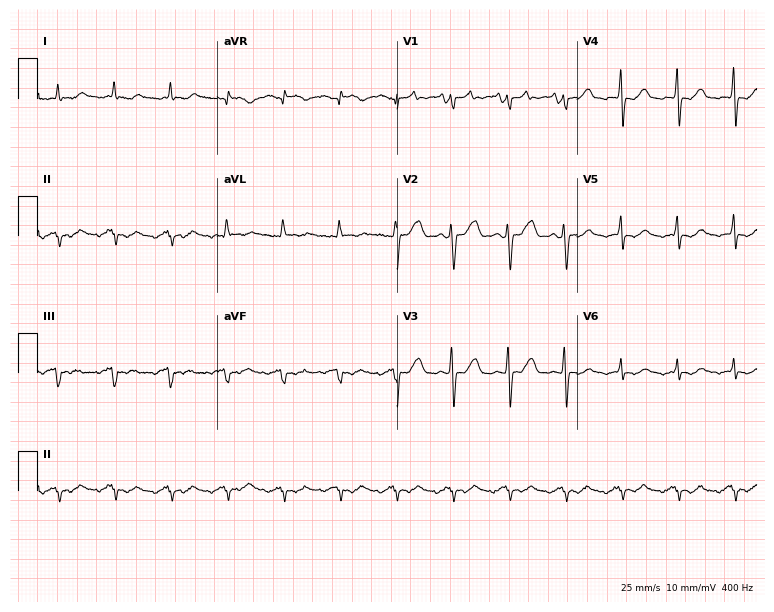
12-lead ECG from a male, 70 years old. Screened for six findings — first-degree AV block, right bundle branch block, left bundle branch block, sinus bradycardia, atrial fibrillation, sinus tachycardia — none is recorded.